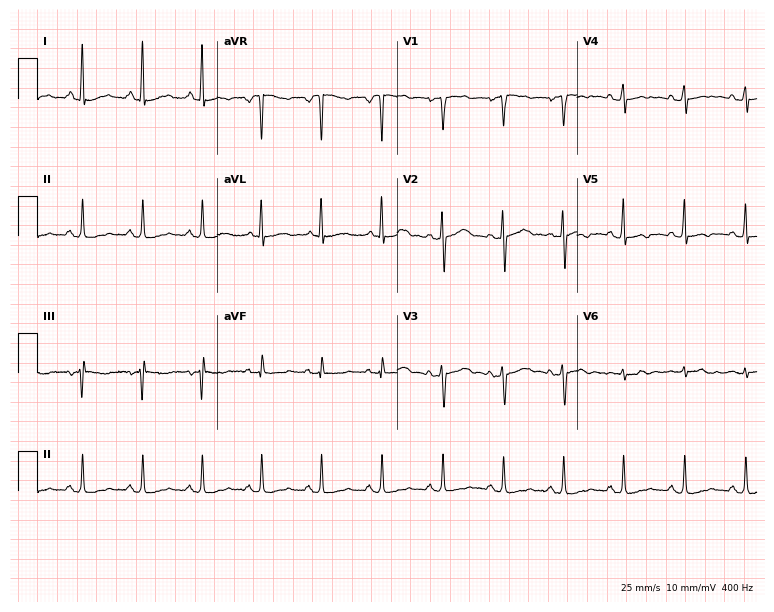
Standard 12-lead ECG recorded from a female patient, 53 years old (7.3-second recording at 400 Hz). None of these six findings is recorded: first-degree AV block, right bundle branch block, left bundle branch block, sinus bradycardia, atrial fibrillation, sinus tachycardia. Findings outside these six are not listed.